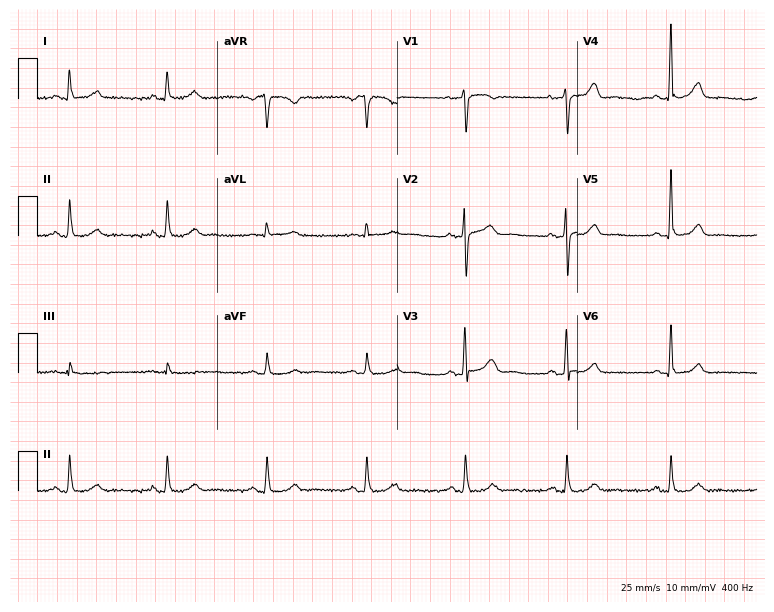
12-lead ECG from a 59-year-old female patient. No first-degree AV block, right bundle branch block, left bundle branch block, sinus bradycardia, atrial fibrillation or sinus tachycardia recorded for this tracing. Other findings, if any, are not listed.